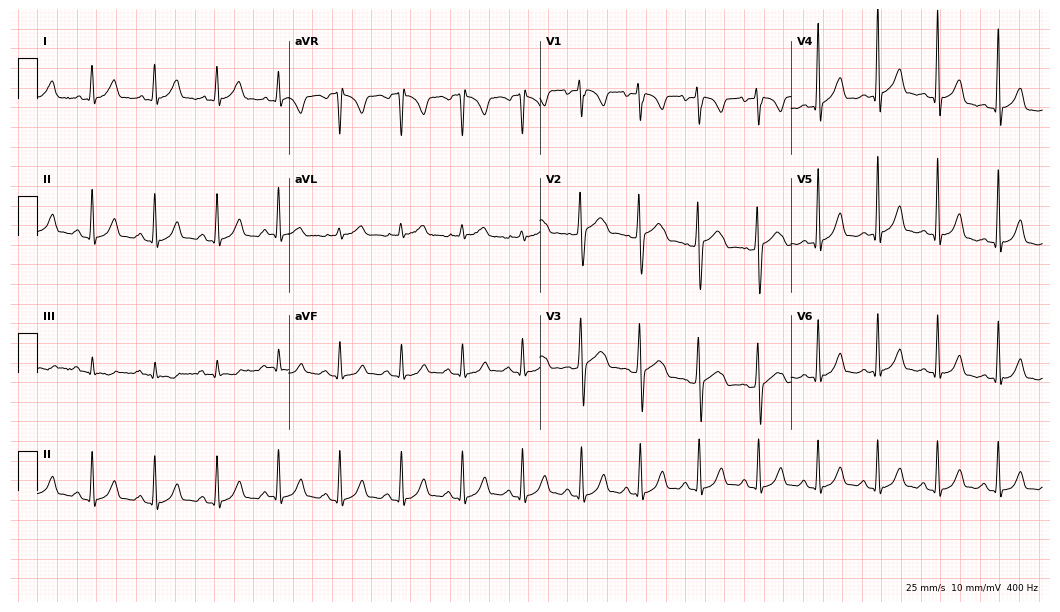
Electrocardiogram, a man, 23 years old. Overall reading on record: normal ECG.